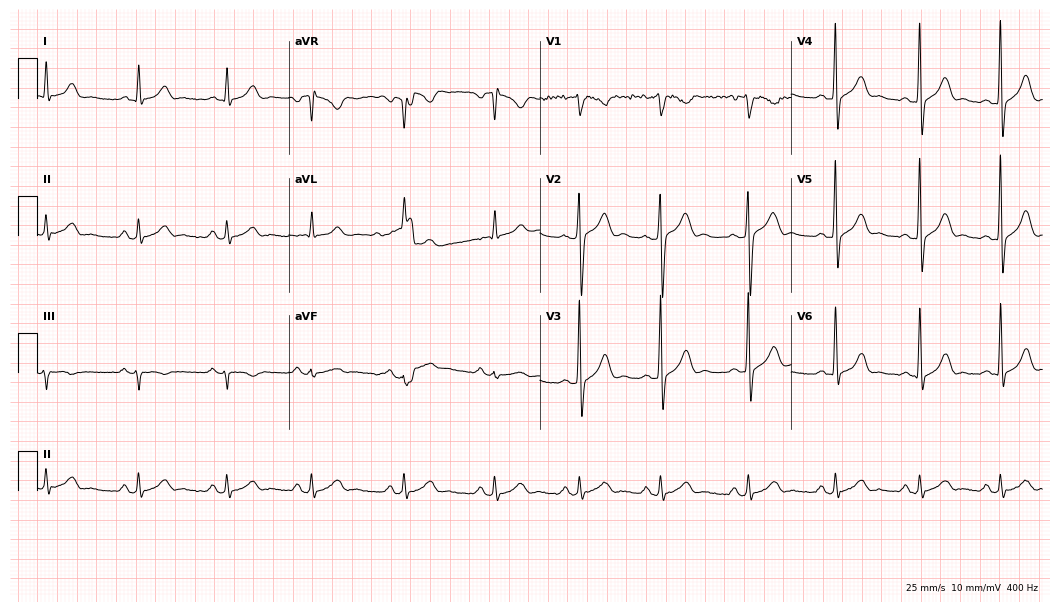
12-lead ECG (10.2-second recording at 400 Hz) from a 30-year-old male patient. Screened for six findings — first-degree AV block, right bundle branch block, left bundle branch block, sinus bradycardia, atrial fibrillation, sinus tachycardia — none is recorded.